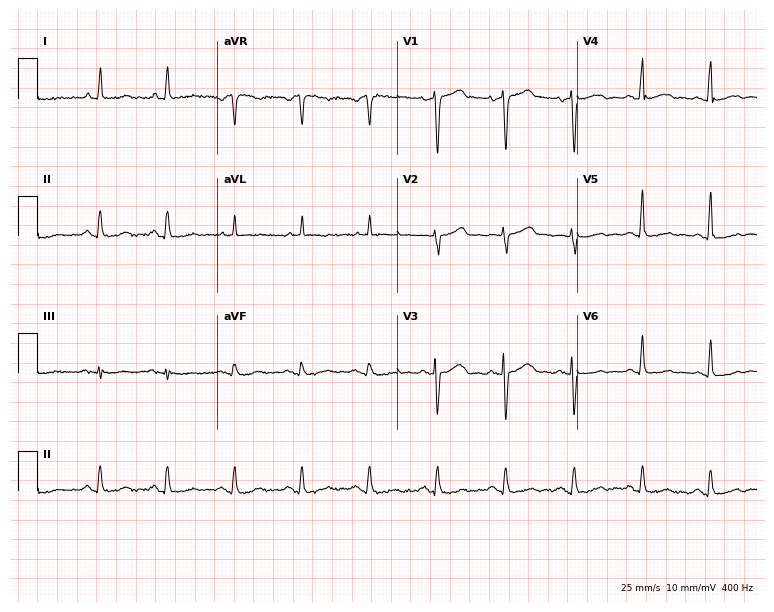
ECG (7.3-second recording at 400 Hz) — a male, 69 years old. Labelled as a normal ECG.